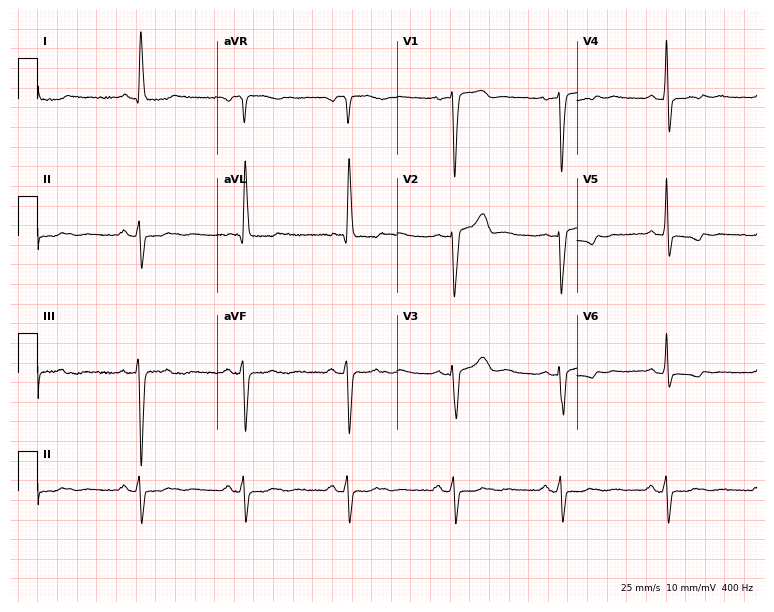
Standard 12-lead ECG recorded from a female, 59 years old (7.3-second recording at 400 Hz). None of these six findings is recorded: first-degree AV block, right bundle branch block, left bundle branch block, sinus bradycardia, atrial fibrillation, sinus tachycardia. Only these six findings were labelled.